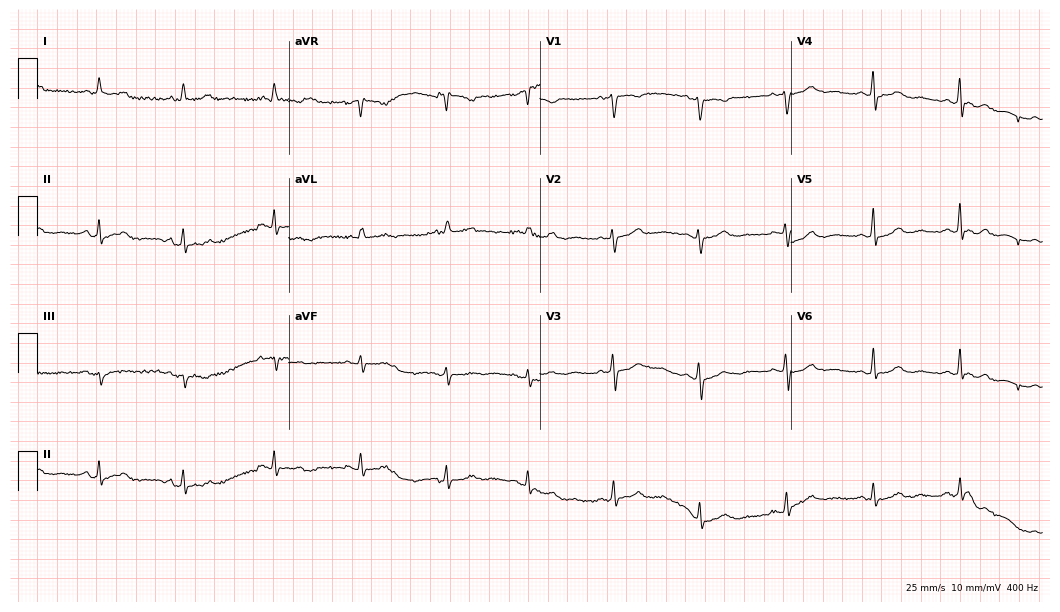
Resting 12-lead electrocardiogram. Patient: a female, 68 years old. Read as a normal ECG.